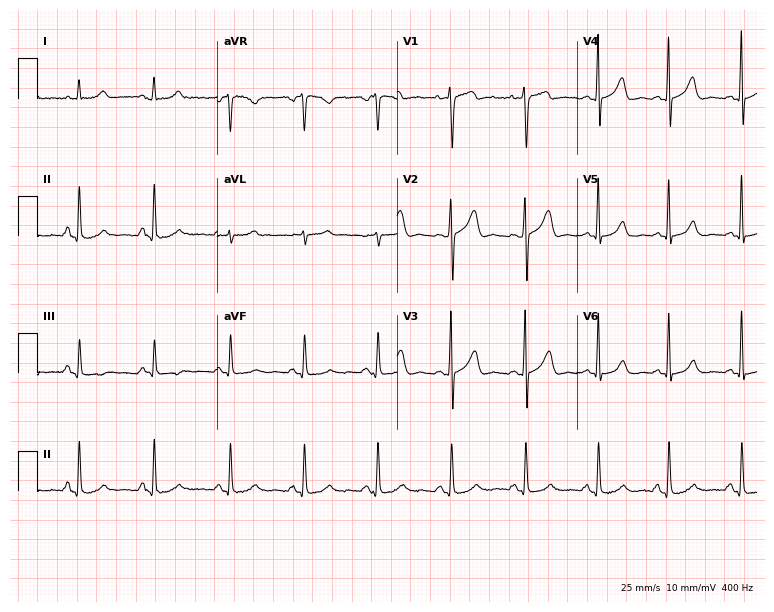
Electrocardiogram (7.3-second recording at 400 Hz), a 45-year-old man. Overall reading on record: normal ECG.